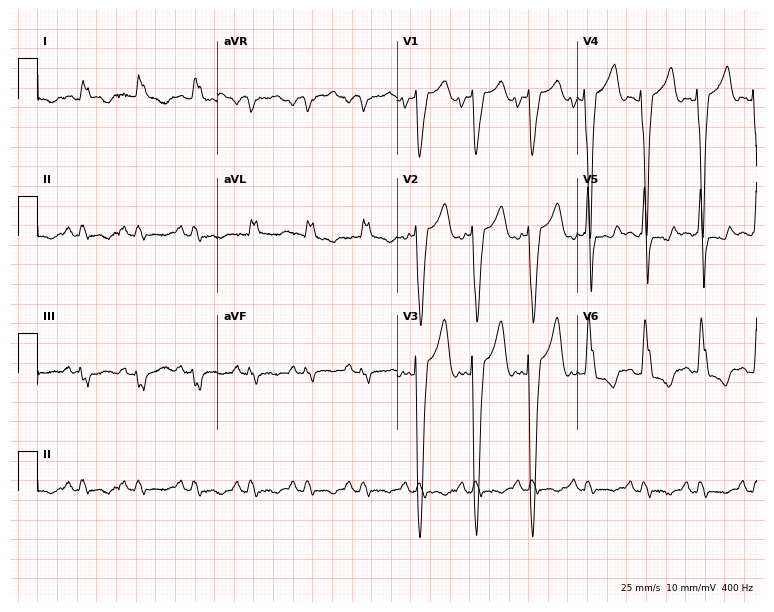
Resting 12-lead electrocardiogram (7.3-second recording at 400 Hz). Patient: a 73-year-old male. The tracing shows left bundle branch block, sinus tachycardia (a sinus rate of 100 beats per minute or more).